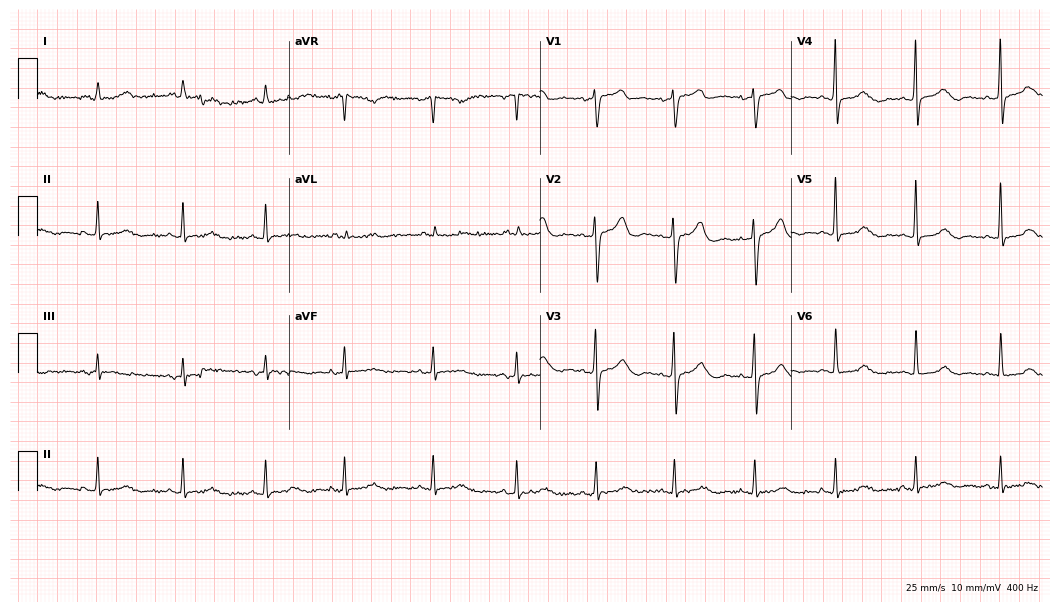
Resting 12-lead electrocardiogram. Patient: a 70-year-old female. Read as a normal ECG.